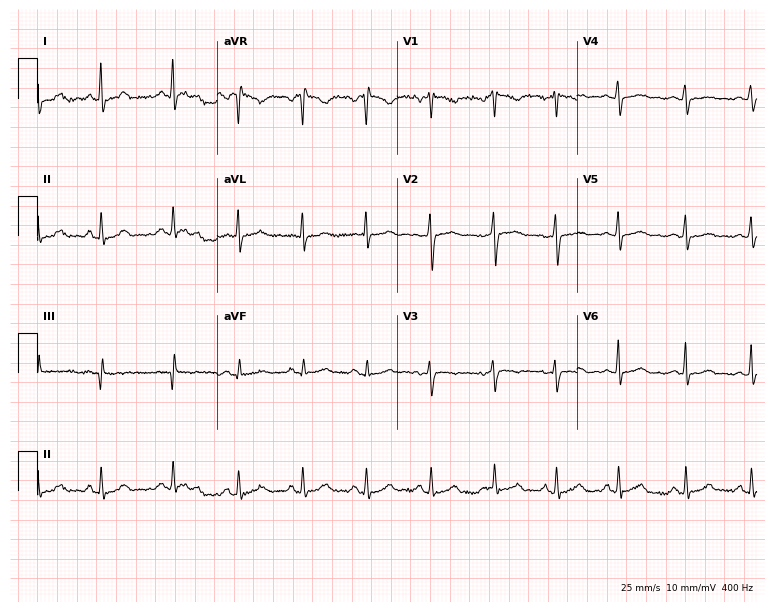
Resting 12-lead electrocardiogram. Patient: a female, 33 years old. None of these six findings is recorded: first-degree AV block, right bundle branch block, left bundle branch block, sinus bradycardia, atrial fibrillation, sinus tachycardia. Other findings, if any, are not listed.